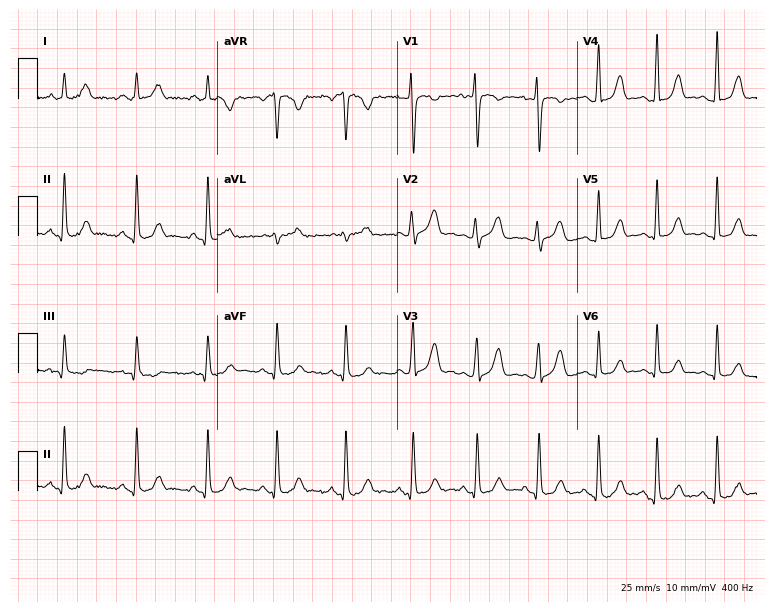
12-lead ECG from a female patient, 28 years old. No first-degree AV block, right bundle branch block (RBBB), left bundle branch block (LBBB), sinus bradycardia, atrial fibrillation (AF) or sinus tachycardia recorded for this tracing.